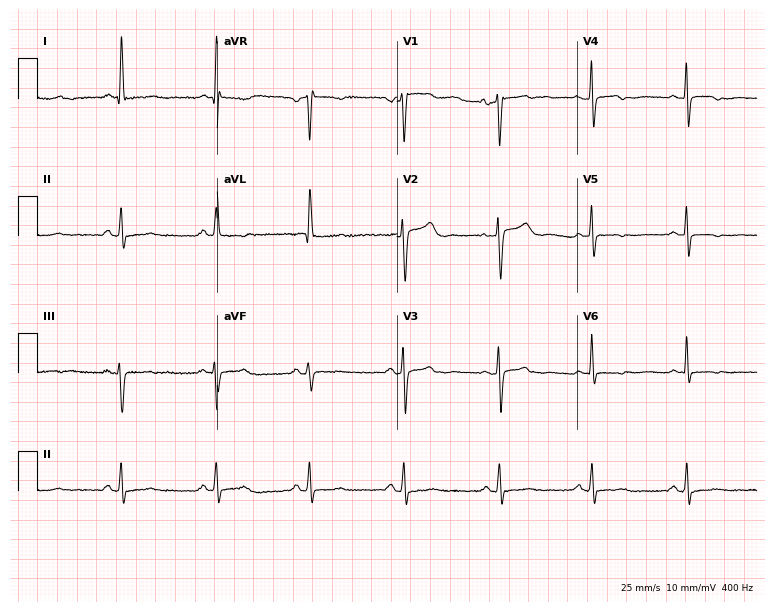
Electrocardiogram (7.3-second recording at 400 Hz), a female, 69 years old. Of the six screened findings (first-degree AV block, right bundle branch block, left bundle branch block, sinus bradycardia, atrial fibrillation, sinus tachycardia), none is recorded.